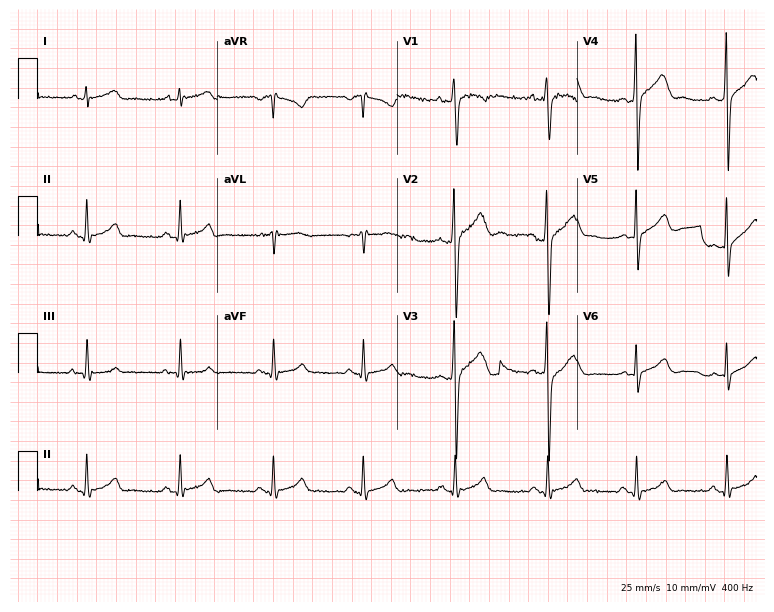
12-lead ECG (7.3-second recording at 400 Hz) from a 24-year-old man. Screened for six findings — first-degree AV block, right bundle branch block, left bundle branch block, sinus bradycardia, atrial fibrillation, sinus tachycardia — none is recorded.